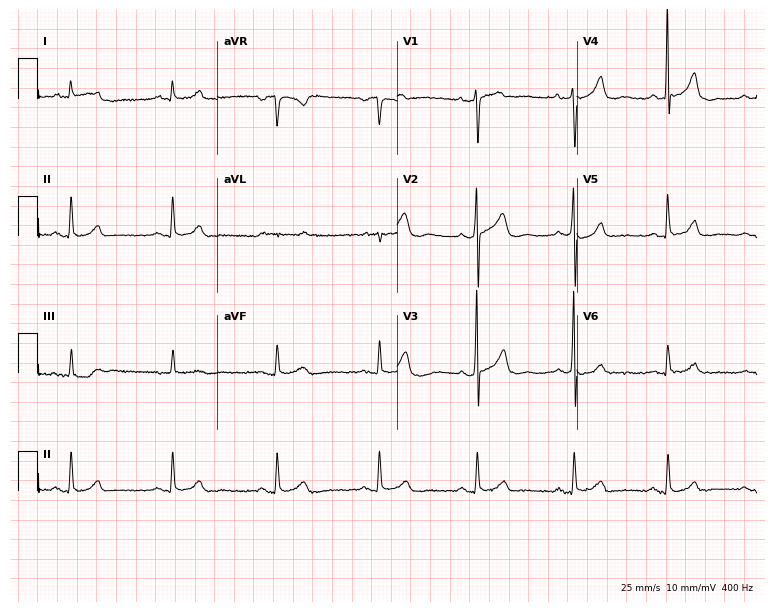
Resting 12-lead electrocardiogram. Patient: a 63-year-old male. Read as a normal ECG.